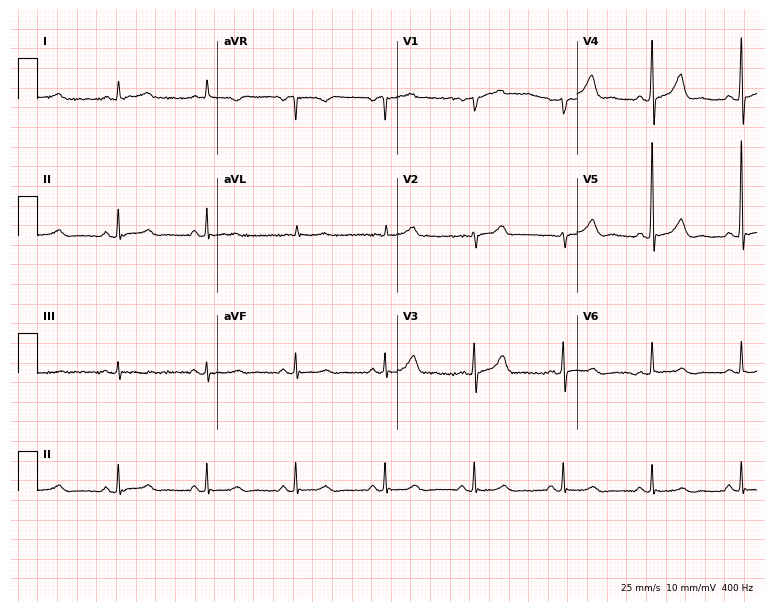
Resting 12-lead electrocardiogram (7.3-second recording at 400 Hz). Patient: a man, 75 years old. Read as a normal ECG.